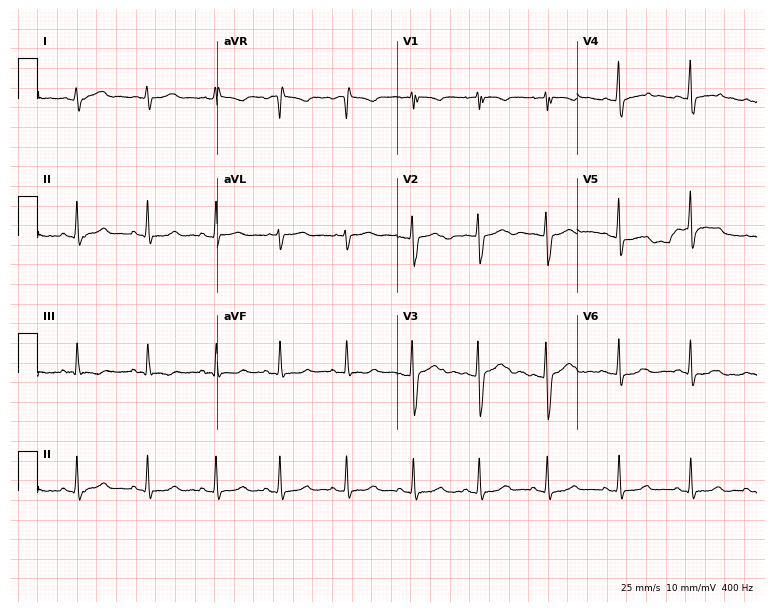
Resting 12-lead electrocardiogram (7.3-second recording at 400 Hz). Patient: a woman, 21 years old. Read as a normal ECG.